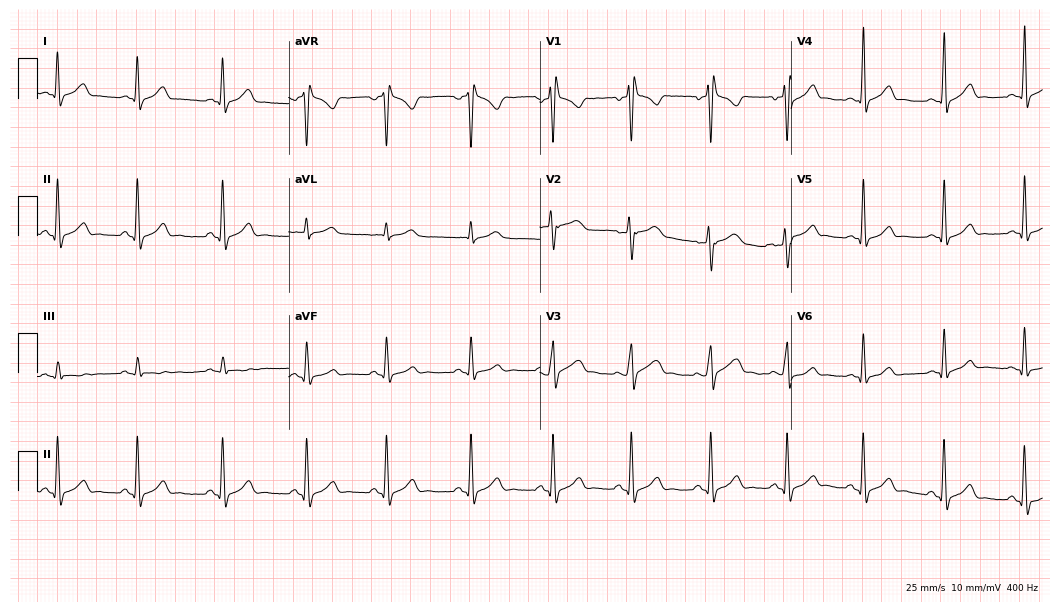
Resting 12-lead electrocardiogram (10.2-second recording at 400 Hz). Patient: a man, 27 years old. None of these six findings is recorded: first-degree AV block, right bundle branch block, left bundle branch block, sinus bradycardia, atrial fibrillation, sinus tachycardia.